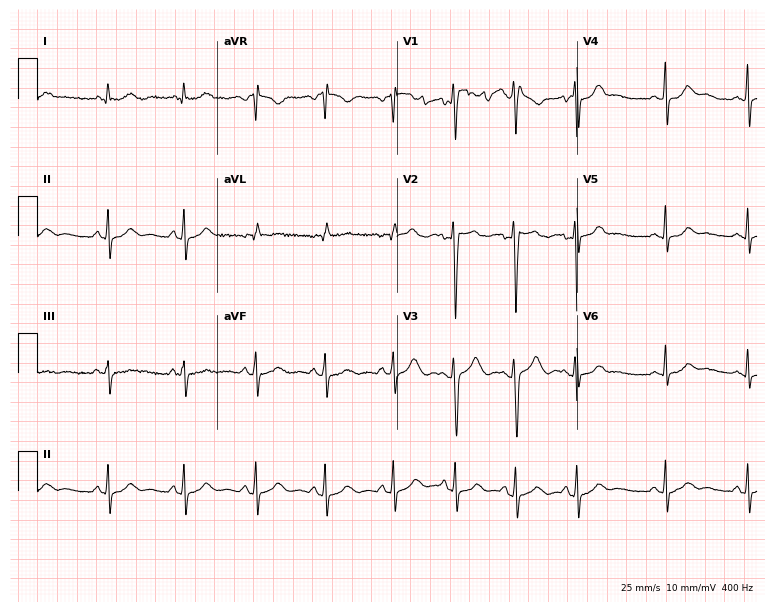
ECG (7.3-second recording at 400 Hz) — a female, 26 years old. Labelled as a normal ECG.